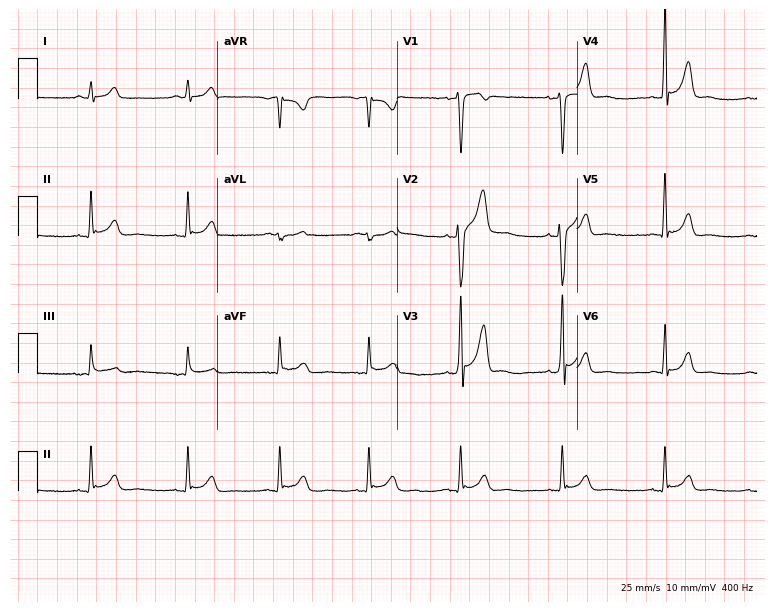
Standard 12-lead ECG recorded from a man, 40 years old. None of these six findings is recorded: first-degree AV block, right bundle branch block, left bundle branch block, sinus bradycardia, atrial fibrillation, sinus tachycardia. Other findings, if any, are not listed.